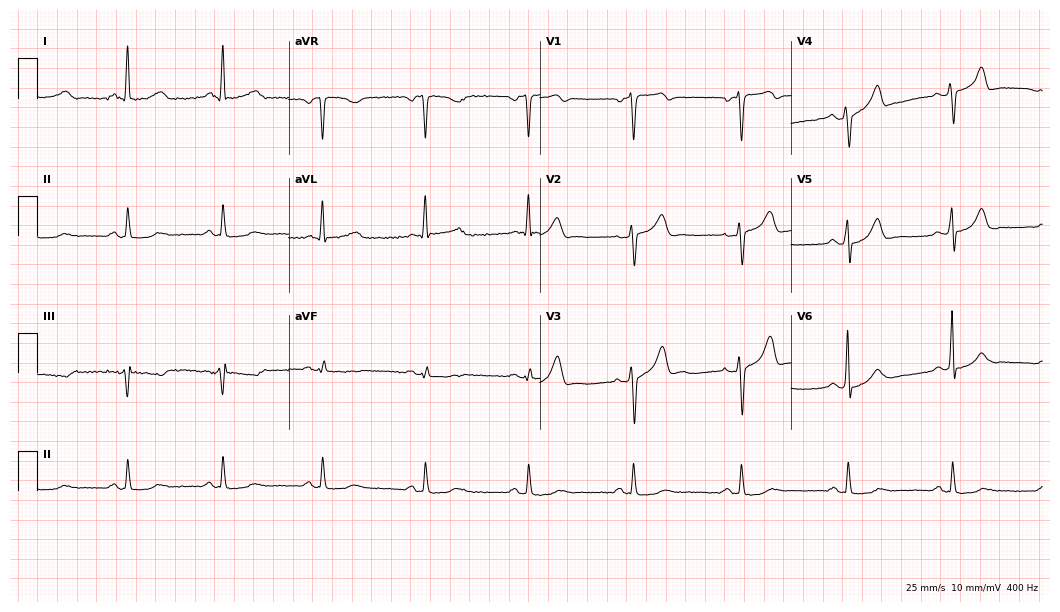
Standard 12-lead ECG recorded from a 62-year-old man. None of these six findings is recorded: first-degree AV block, right bundle branch block, left bundle branch block, sinus bradycardia, atrial fibrillation, sinus tachycardia.